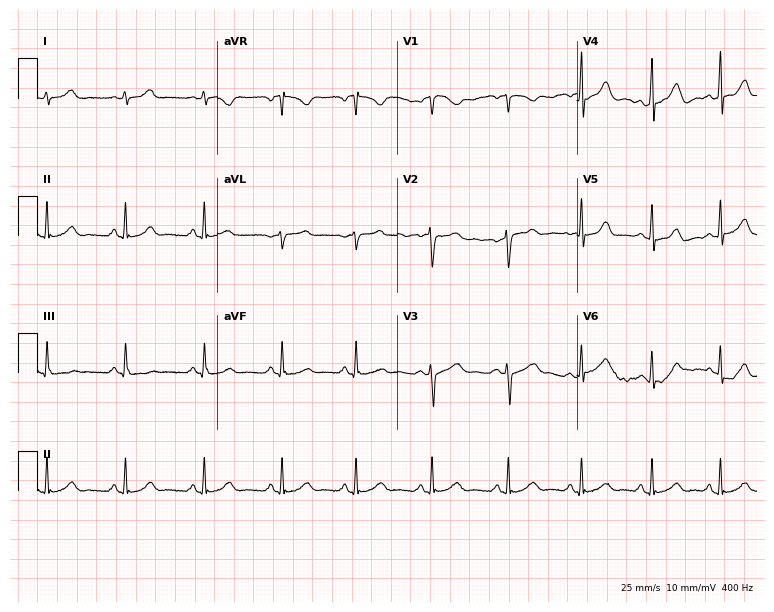
Standard 12-lead ECG recorded from a woman, 34 years old (7.3-second recording at 400 Hz). Read as a normal ECG.